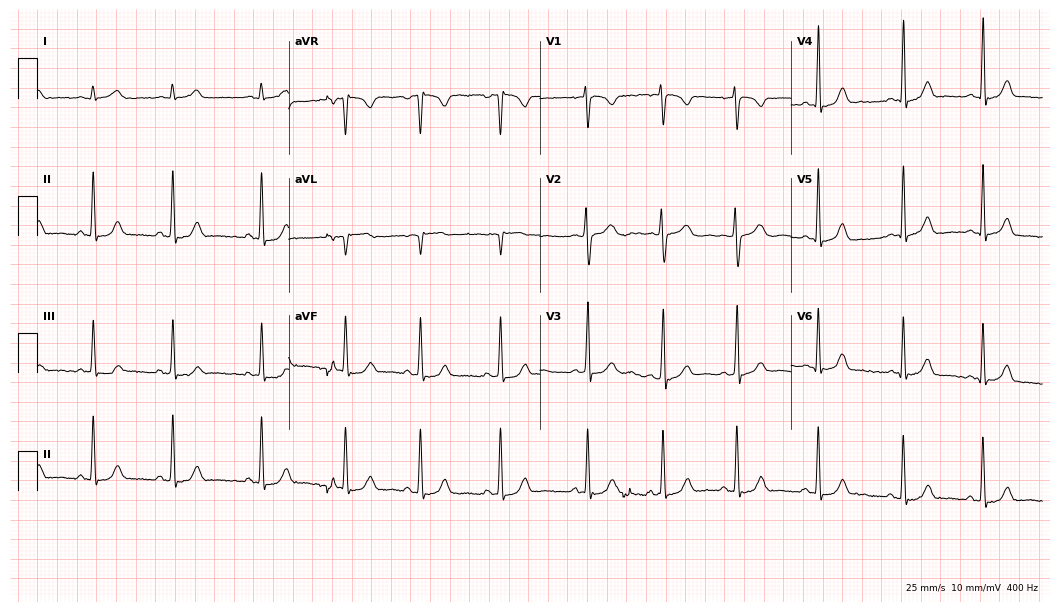
Standard 12-lead ECG recorded from a female patient, 18 years old. Read as a normal ECG.